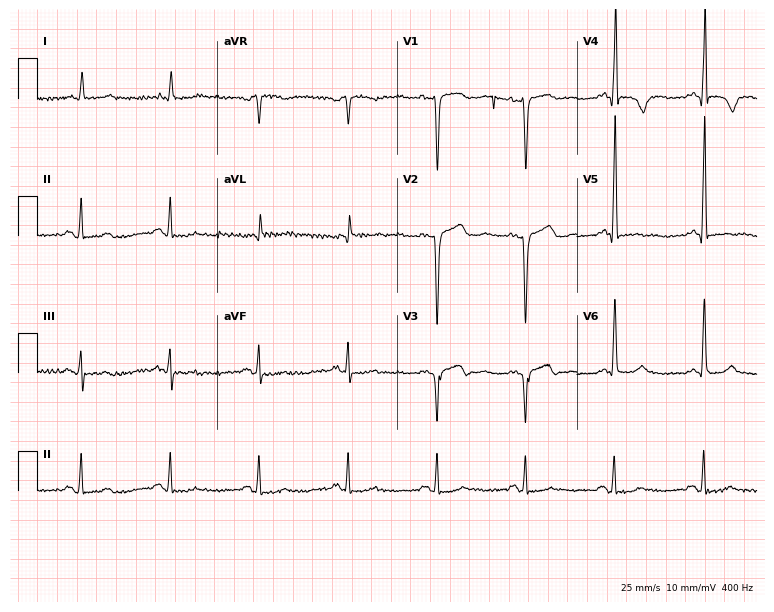
12-lead ECG from a male patient, 80 years old. Labelled as a normal ECG.